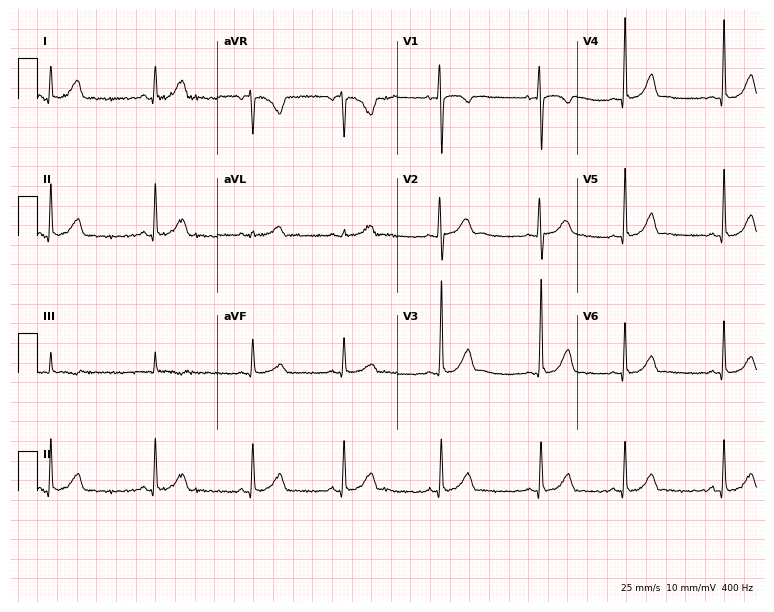
Resting 12-lead electrocardiogram. Patient: a woman, 40 years old. None of these six findings is recorded: first-degree AV block, right bundle branch block, left bundle branch block, sinus bradycardia, atrial fibrillation, sinus tachycardia.